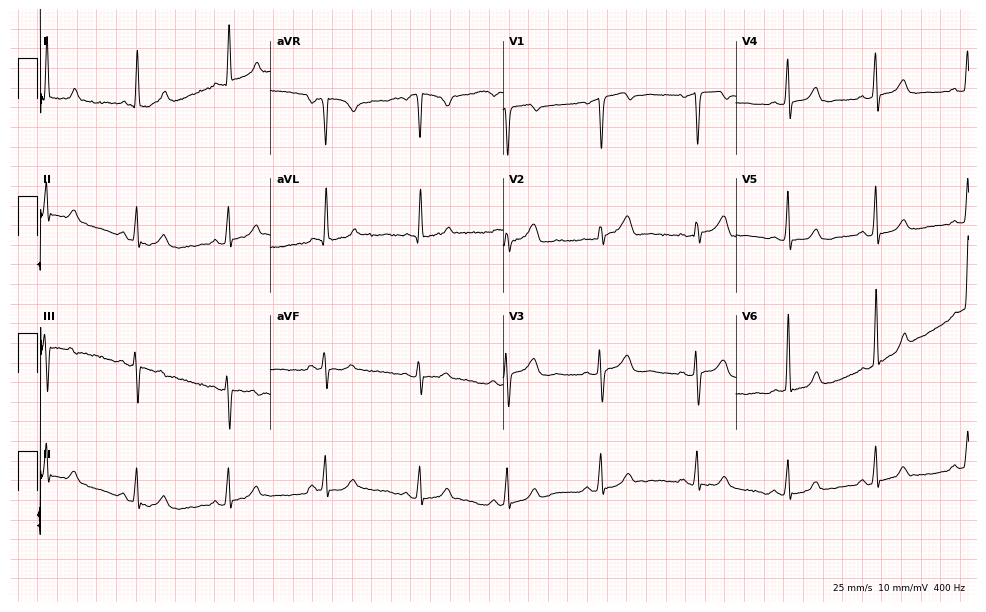
12-lead ECG from a female patient, 55 years old. Labelled as a normal ECG.